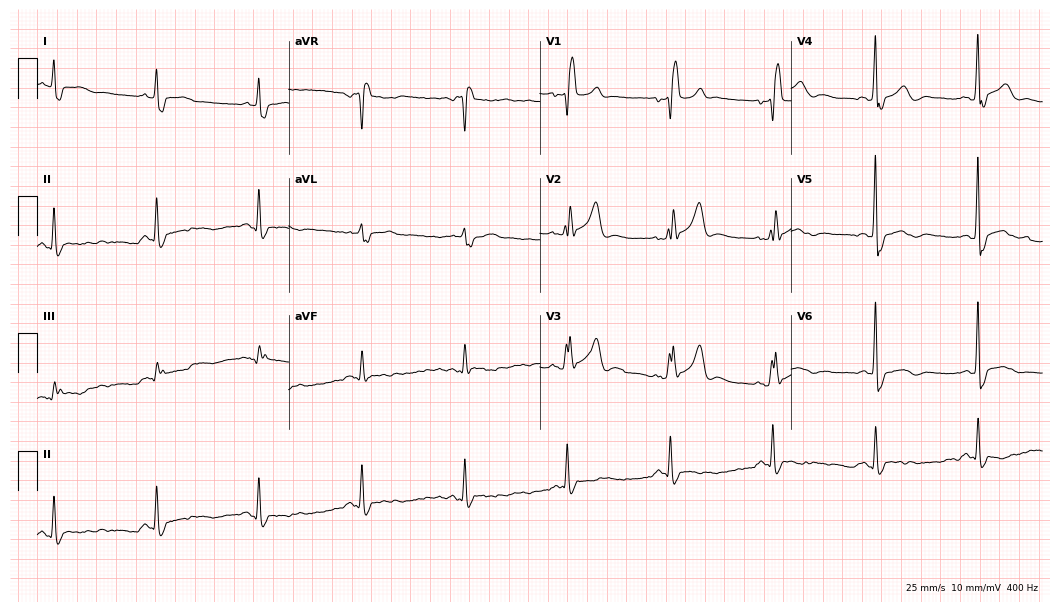
Resting 12-lead electrocardiogram (10.2-second recording at 400 Hz). Patient: a man, 65 years old. The tracing shows right bundle branch block (RBBB).